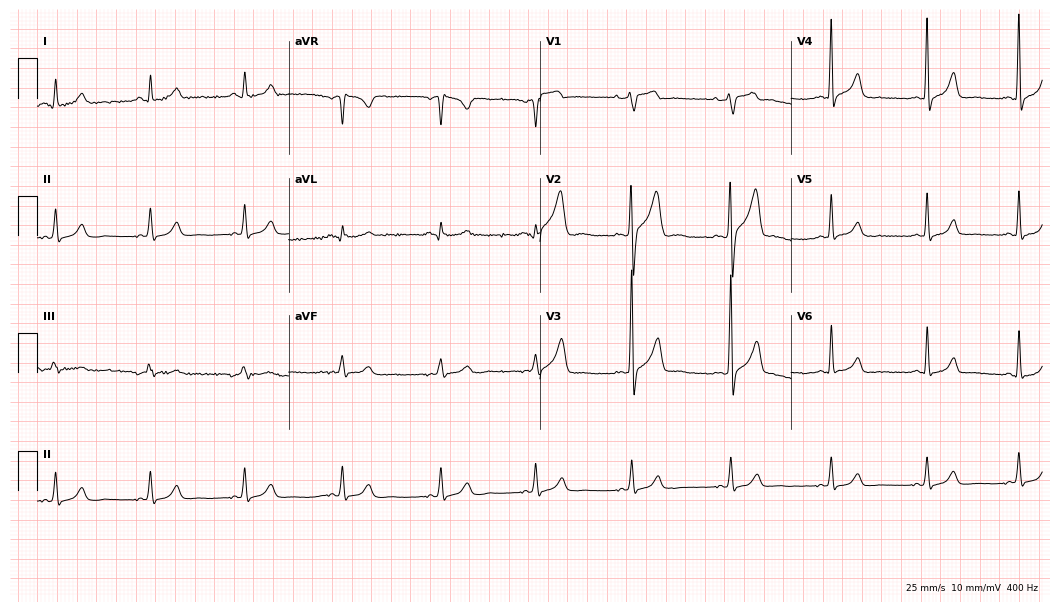
12-lead ECG from a man, 45 years old (10.2-second recording at 400 Hz). No first-degree AV block, right bundle branch block, left bundle branch block, sinus bradycardia, atrial fibrillation or sinus tachycardia recorded for this tracing.